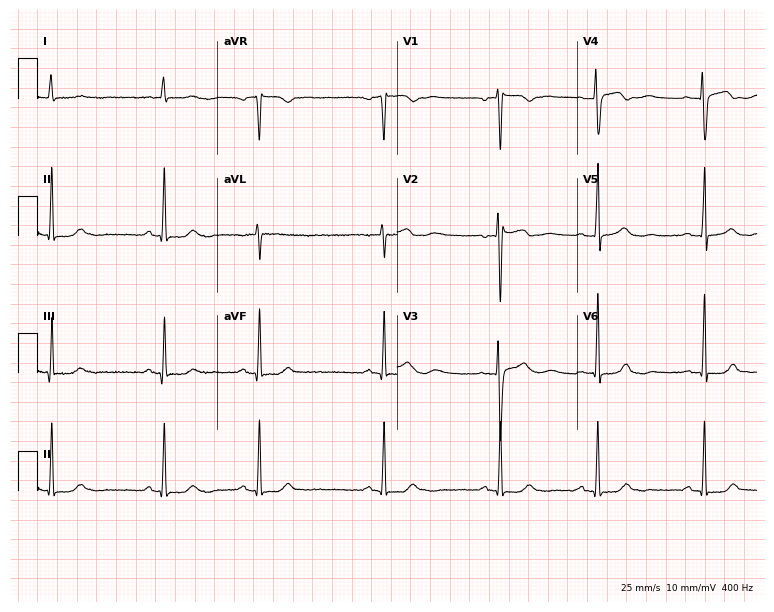
12-lead ECG from a 29-year-old female. No first-degree AV block, right bundle branch block (RBBB), left bundle branch block (LBBB), sinus bradycardia, atrial fibrillation (AF) or sinus tachycardia recorded for this tracing. Findings outside these six are not listed.